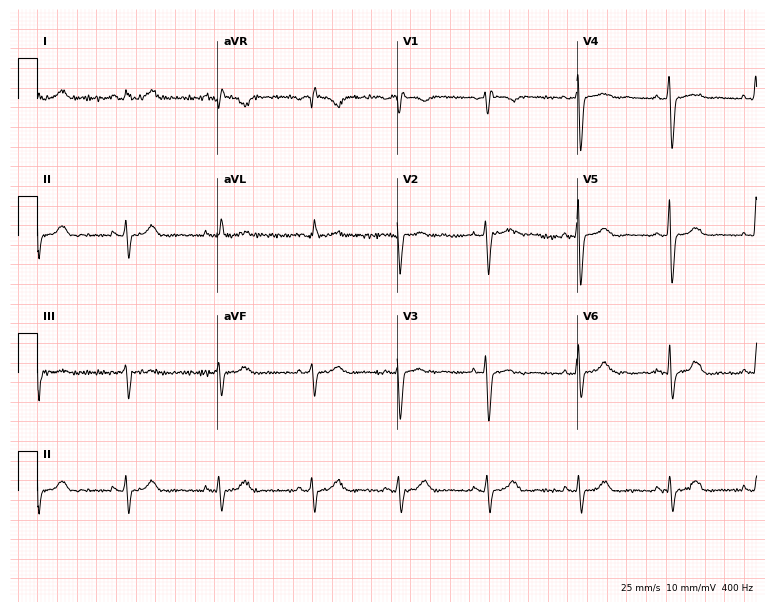
12-lead ECG from a 37-year-old female patient. No first-degree AV block, right bundle branch block (RBBB), left bundle branch block (LBBB), sinus bradycardia, atrial fibrillation (AF) or sinus tachycardia recorded for this tracing.